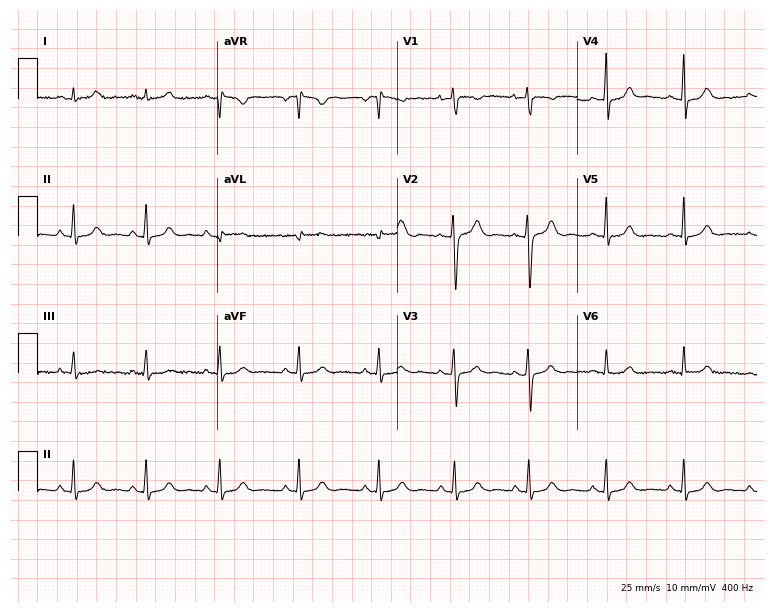
ECG — an 18-year-old woman. Labelled as a normal ECG.